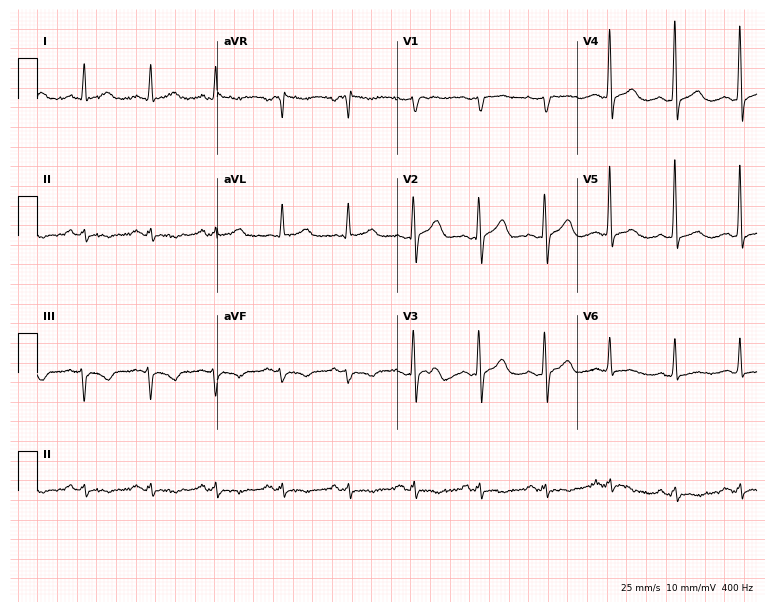
ECG — a male patient, 68 years old. Screened for six findings — first-degree AV block, right bundle branch block, left bundle branch block, sinus bradycardia, atrial fibrillation, sinus tachycardia — none is recorded.